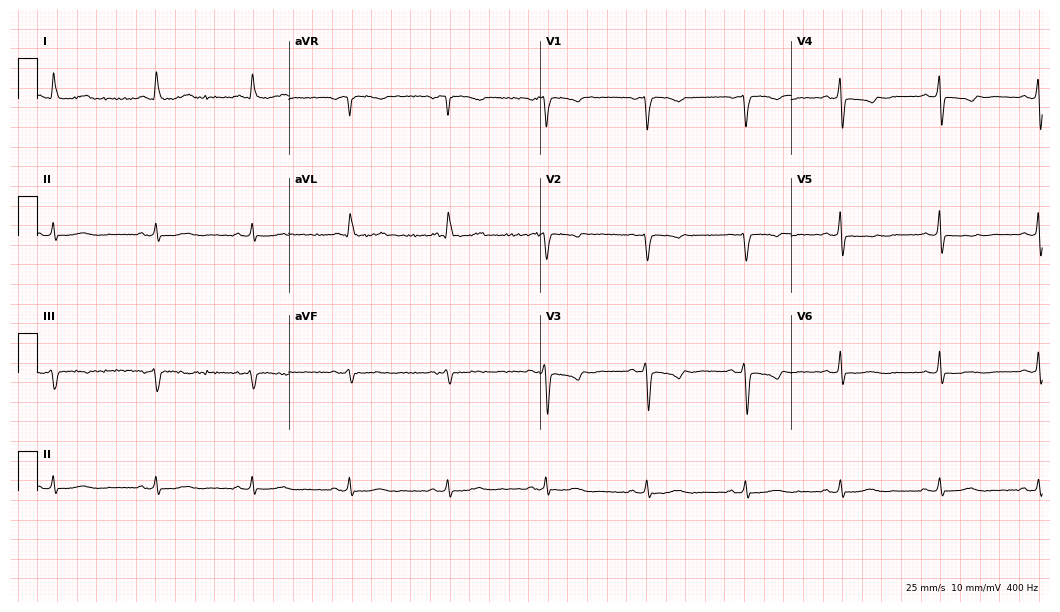
12-lead ECG (10.2-second recording at 400 Hz) from a female, 61 years old. Labelled as a normal ECG.